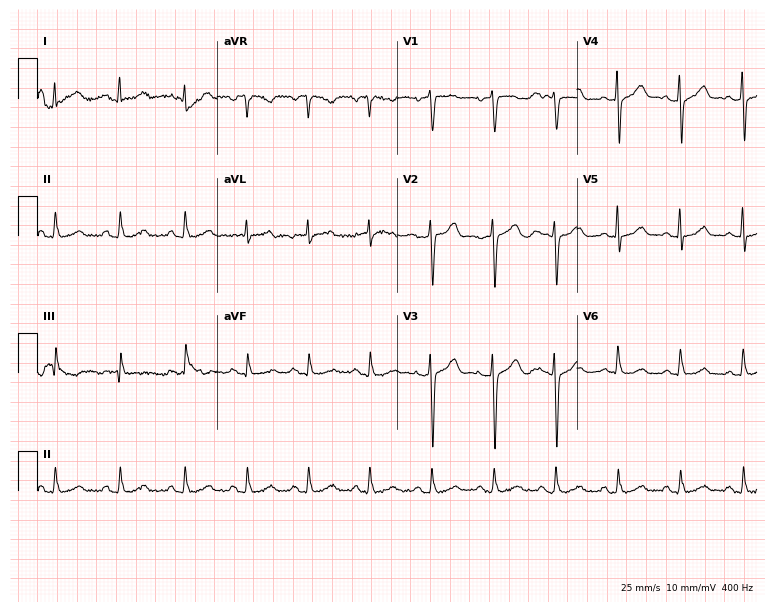
ECG (7.3-second recording at 400 Hz) — a male, 59 years old. Labelled as a normal ECG.